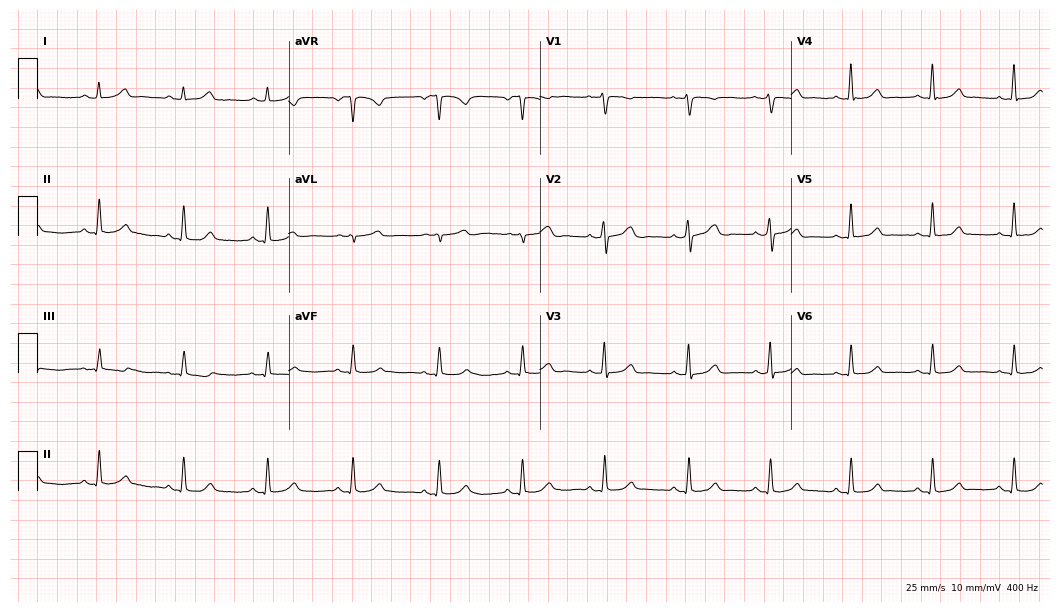
ECG (10.2-second recording at 400 Hz) — a 48-year-old female patient. Labelled as a normal ECG.